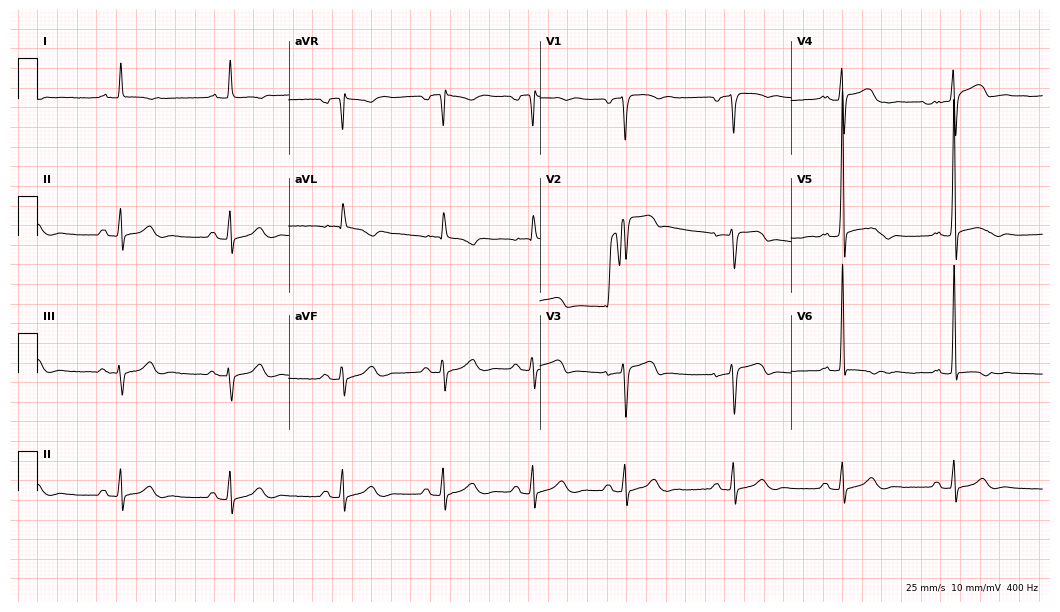
Standard 12-lead ECG recorded from a male patient, 61 years old. None of these six findings is recorded: first-degree AV block, right bundle branch block, left bundle branch block, sinus bradycardia, atrial fibrillation, sinus tachycardia.